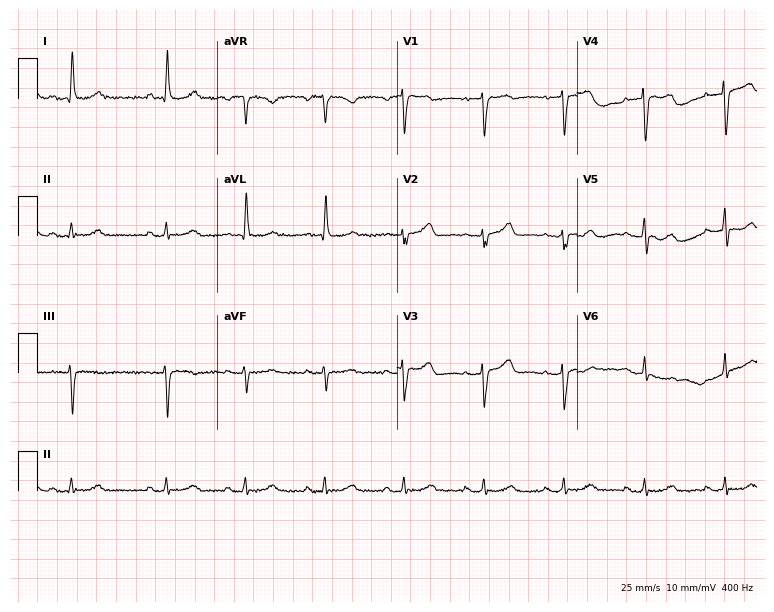
ECG — an 80-year-old woman. Screened for six findings — first-degree AV block, right bundle branch block (RBBB), left bundle branch block (LBBB), sinus bradycardia, atrial fibrillation (AF), sinus tachycardia — none is recorded.